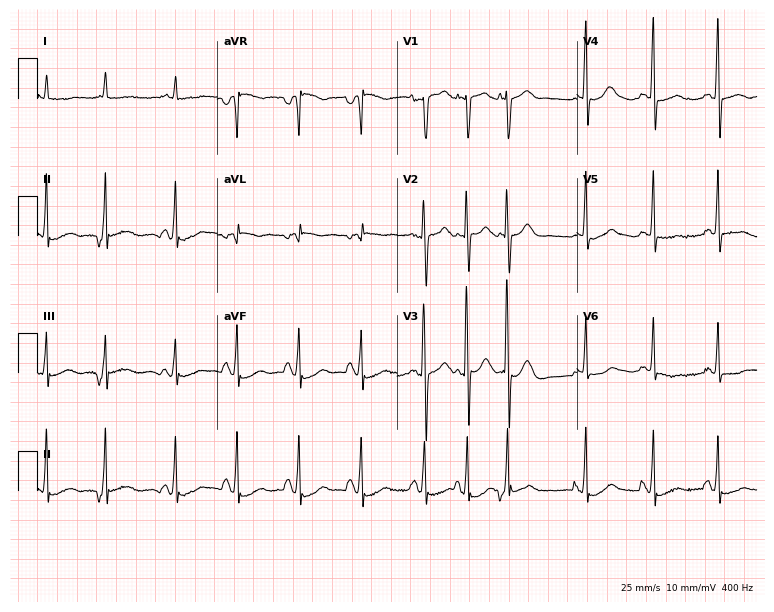
Standard 12-lead ECG recorded from a male patient, 78 years old. None of these six findings is recorded: first-degree AV block, right bundle branch block (RBBB), left bundle branch block (LBBB), sinus bradycardia, atrial fibrillation (AF), sinus tachycardia.